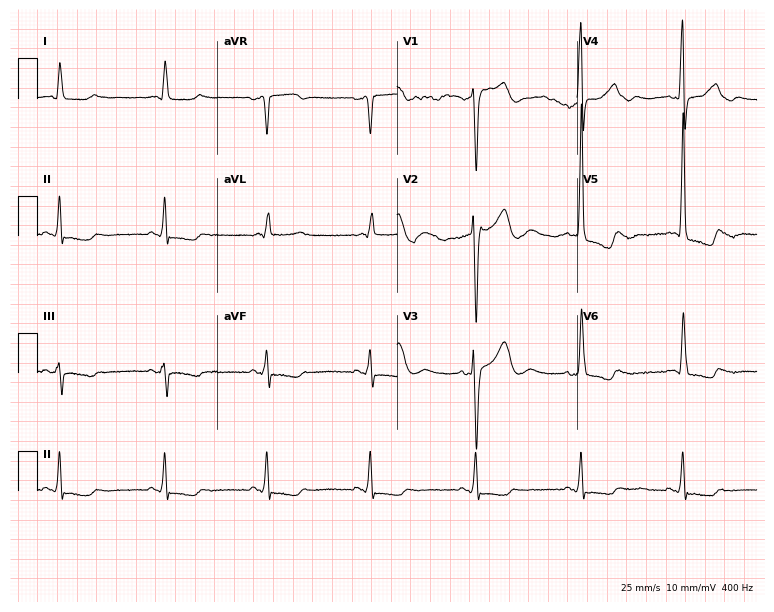
12-lead ECG (7.3-second recording at 400 Hz) from a man, 81 years old. Screened for six findings — first-degree AV block, right bundle branch block, left bundle branch block, sinus bradycardia, atrial fibrillation, sinus tachycardia — none is recorded. Findings outside these six are not listed.